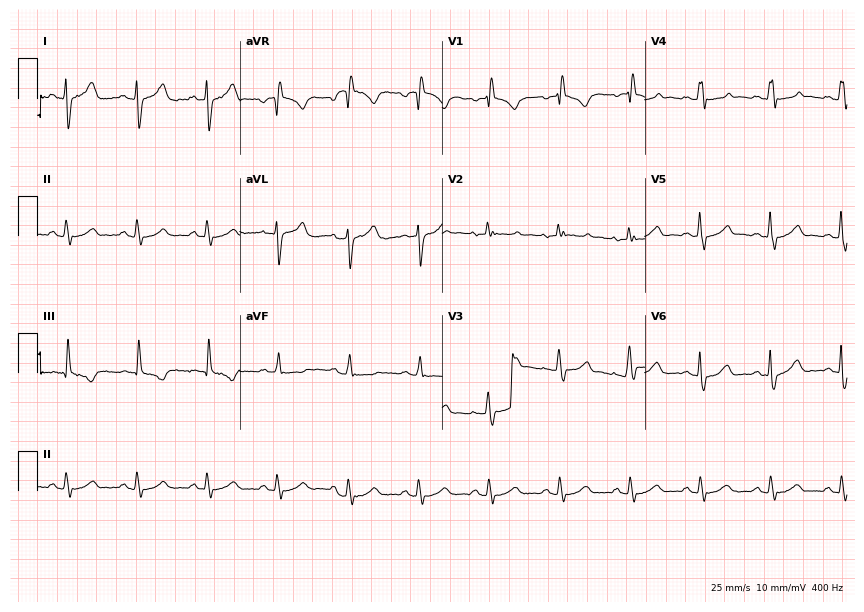
ECG (8.3-second recording at 400 Hz) — a 40-year-old male patient. Screened for six findings — first-degree AV block, right bundle branch block, left bundle branch block, sinus bradycardia, atrial fibrillation, sinus tachycardia — none is recorded. Findings outside these six are not listed.